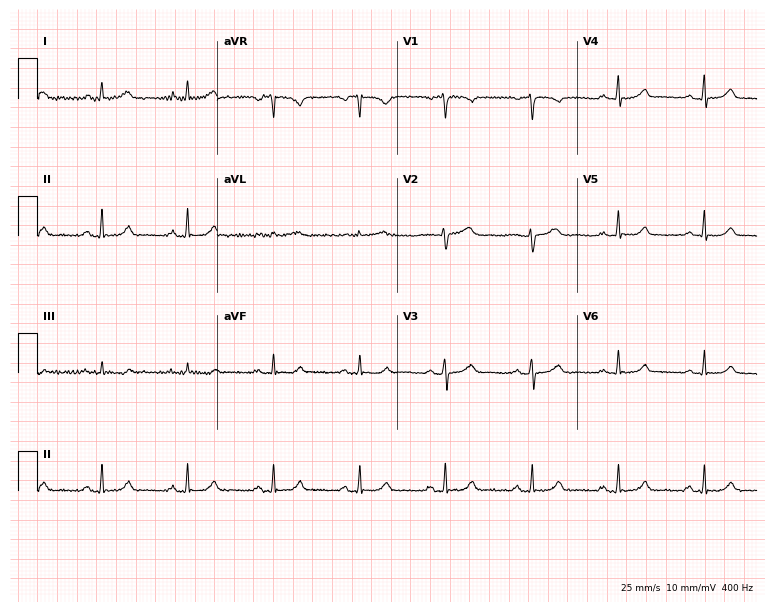
Standard 12-lead ECG recorded from a female patient, 54 years old. None of these six findings is recorded: first-degree AV block, right bundle branch block, left bundle branch block, sinus bradycardia, atrial fibrillation, sinus tachycardia. Findings outside these six are not listed.